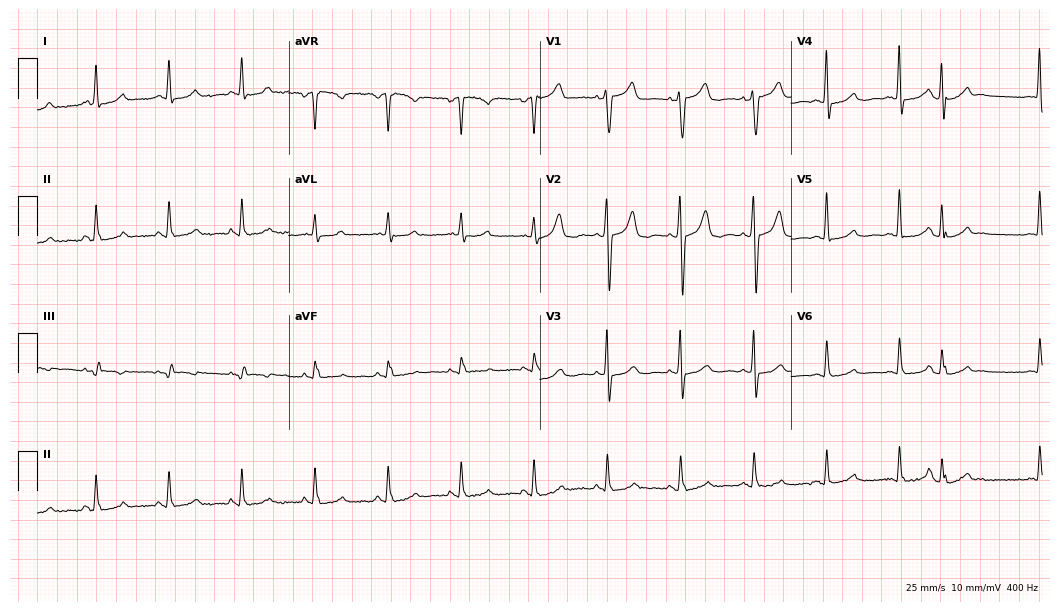
12-lead ECG from a female patient, 76 years old. Labelled as a normal ECG.